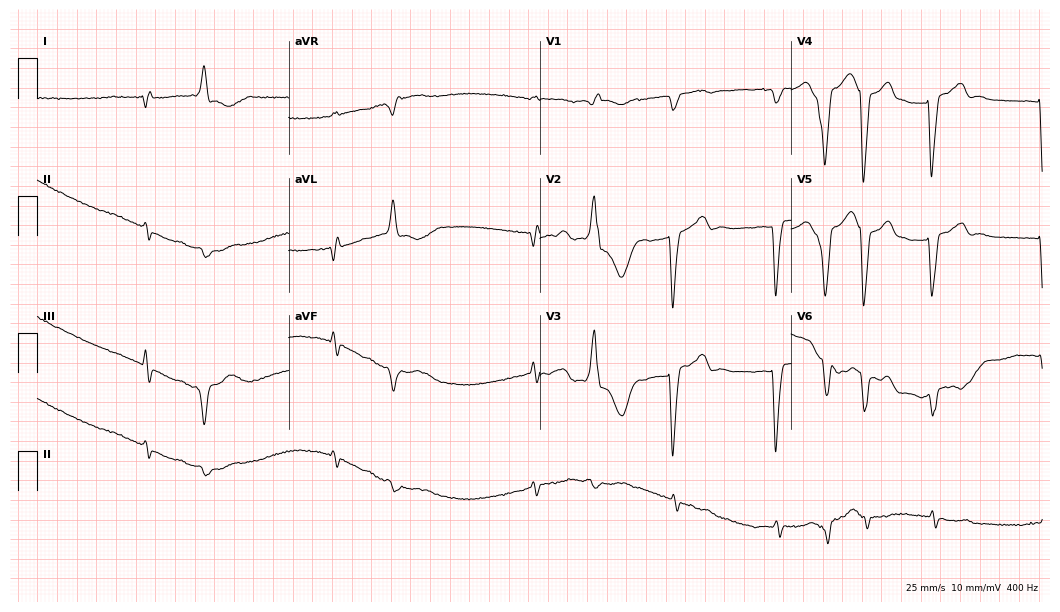
12-lead ECG from a woman, 75 years old (10.2-second recording at 400 Hz). No first-degree AV block, right bundle branch block (RBBB), left bundle branch block (LBBB), sinus bradycardia, atrial fibrillation (AF) or sinus tachycardia recorded for this tracing.